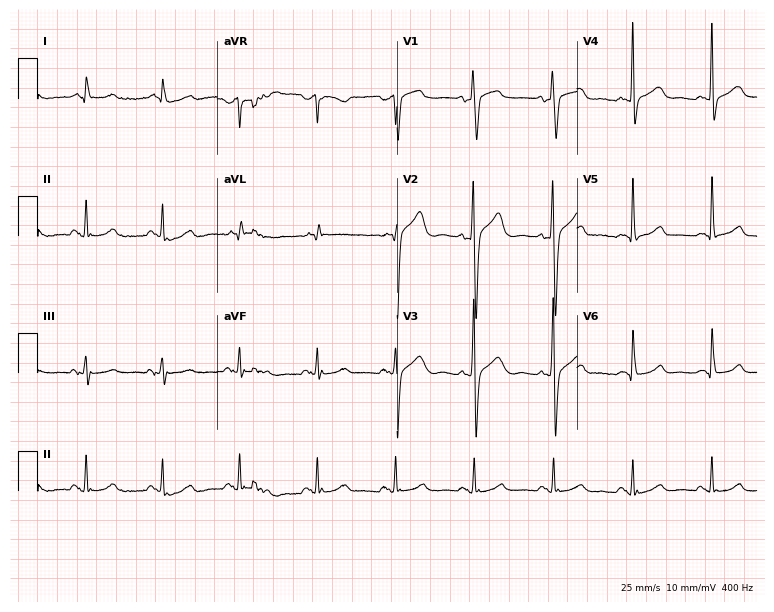
Electrocardiogram (7.3-second recording at 400 Hz), a male patient, 74 years old. Overall reading on record: normal ECG.